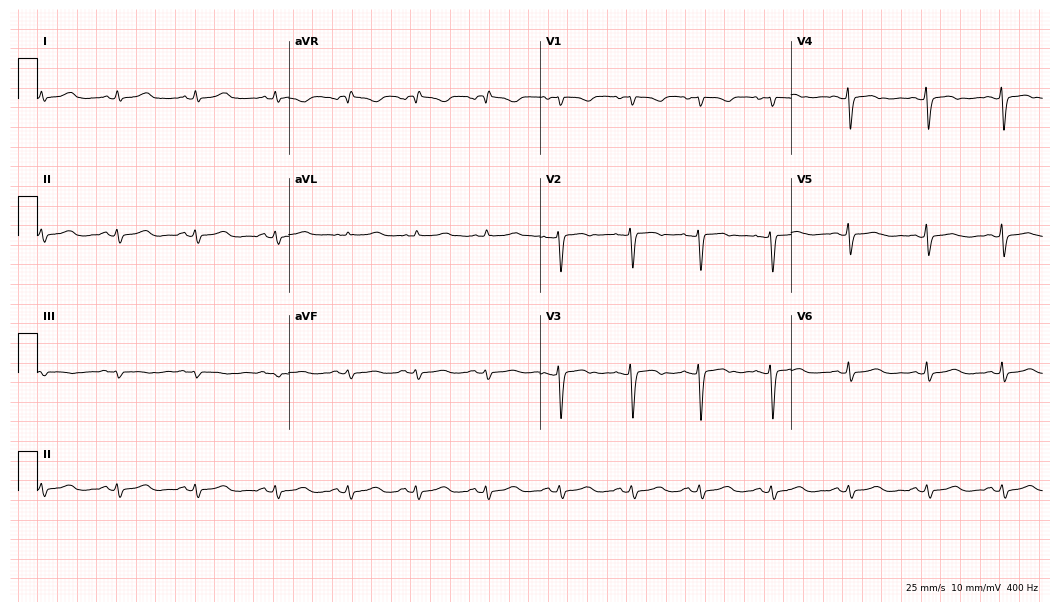
12-lead ECG from a 19-year-old female patient. Screened for six findings — first-degree AV block, right bundle branch block, left bundle branch block, sinus bradycardia, atrial fibrillation, sinus tachycardia — none is recorded.